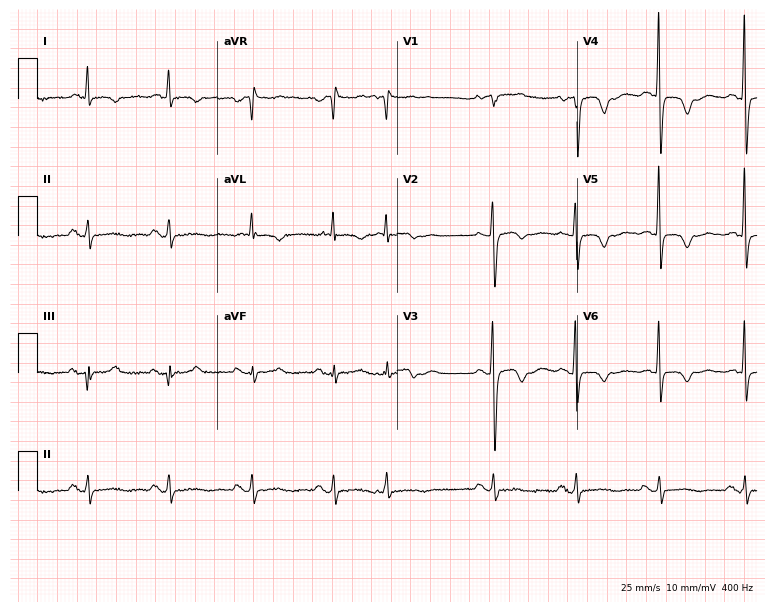
Standard 12-lead ECG recorded from a female patient, 77 years old. None of these six findings is recorded: first-degree AV block, right bundle branch block (RBBB), left bundle branch block (LBBB), sinus bradycardia, atrial fibrillation (AF), sinus tachycardia.